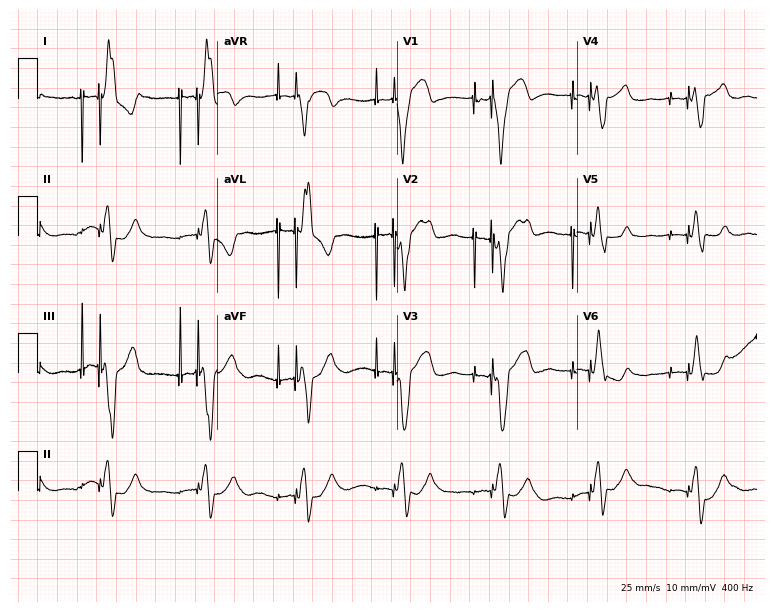
12-lead ECG from an 83-year-old female. No first-degree AV block, right bundle branch block, left bundle branch block, sinus bradycardia, atrial fibrillation or sinus tachycardia recorded for this tracing. Only these six findings were labelled.